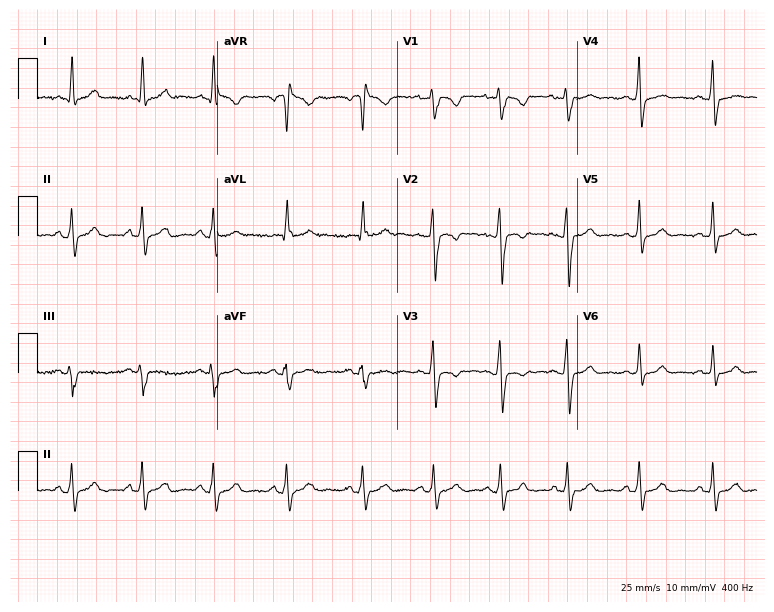
ECG (7.3-second recording at 400 Hz) — a female, 23 years old. Screened for six findings — first-degree AV block, right bundle branch block (RBBB), left bundle branch block (LBBB), sinus bradycardia, atrial fibrillation (AF), sinus tachycardia — none is recorded. Other findings, if any, are not listed.